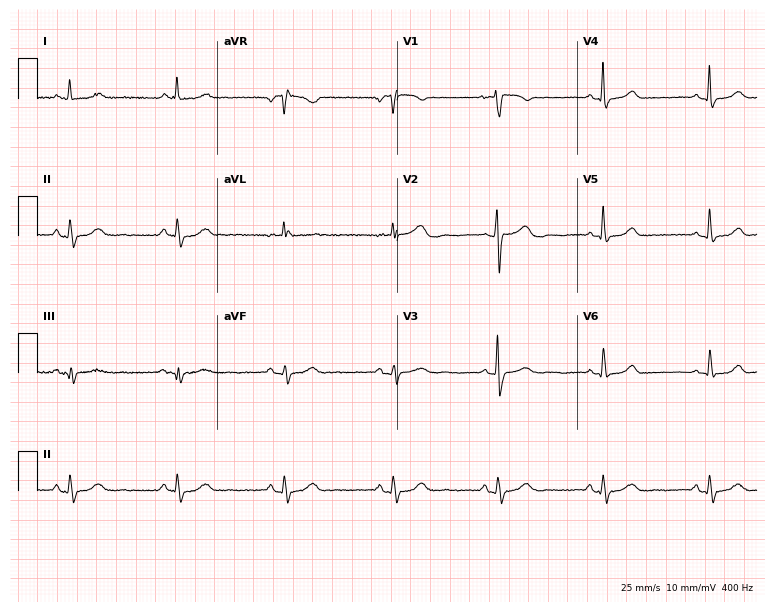
ECG (7.3-second recording at 400 Hz) — a female, 43 years old. Labelled as a normal ECG.